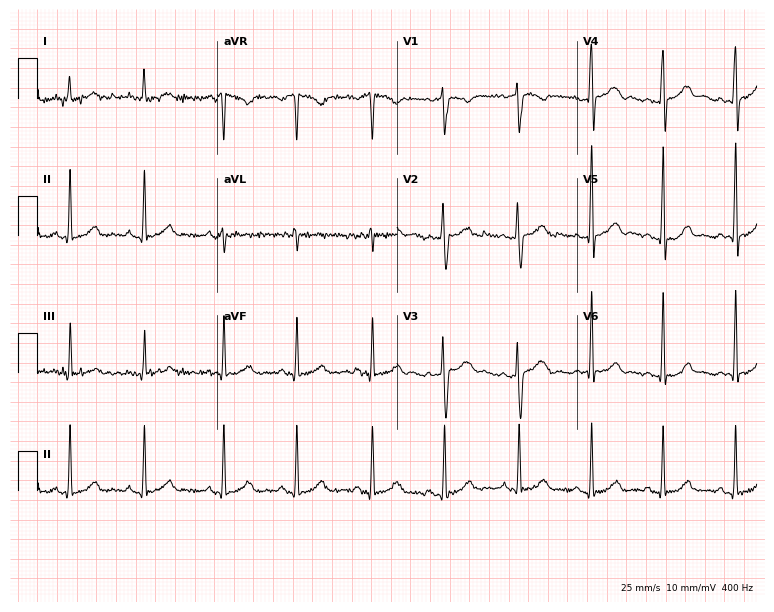
Resting 12-lead electrocardiogram (7.3-second recording at 400 Hz). Patient: a woman, 20 years old. None of these six findings is recorded: first-degree AV block, right bundle branch block (RBBB), left bundle branch block (LBBB), sinus bradycardia, atrial fibrillation (AF), sinus tachycardia.